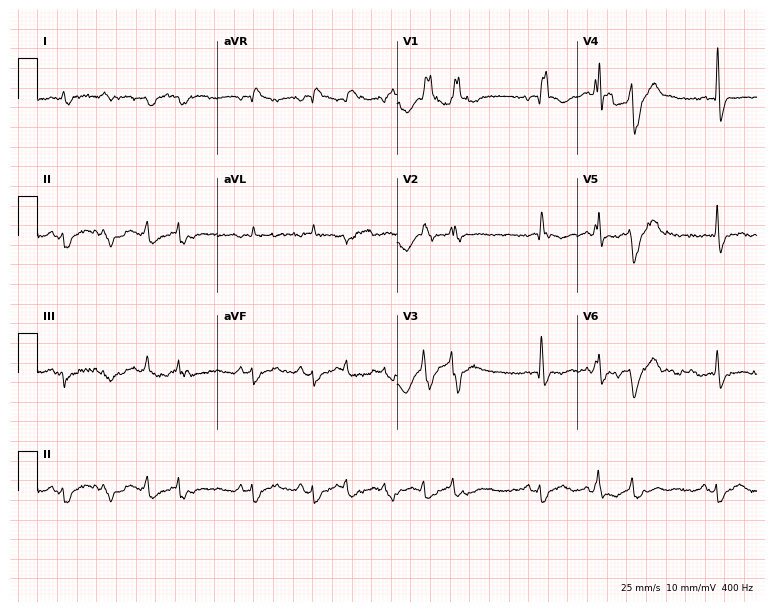
ECG (7.3-second recording at 400 Hz) — a man, 82 years old. Findings include right bundle branch block (RBBB).